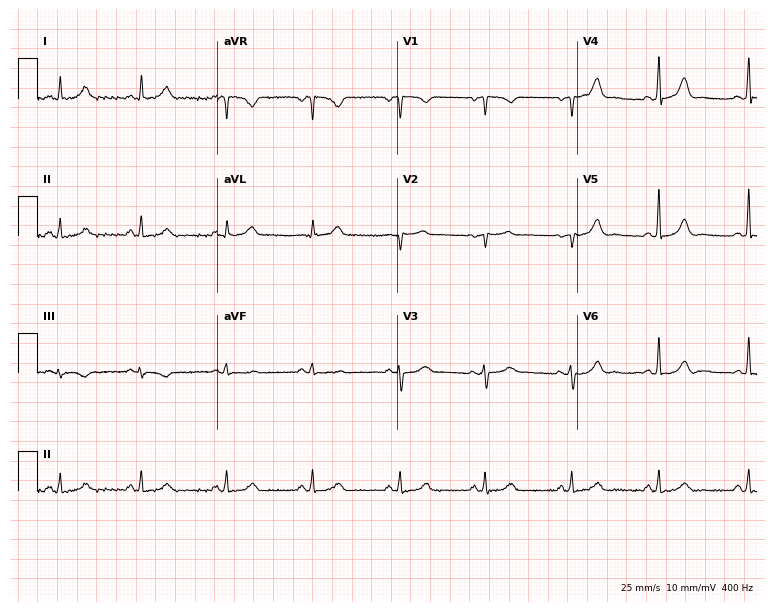
12-lead ECG from a female, 55 years old (7.3-second recording at 400 Hz). Recorded interpretation: within normal limits.